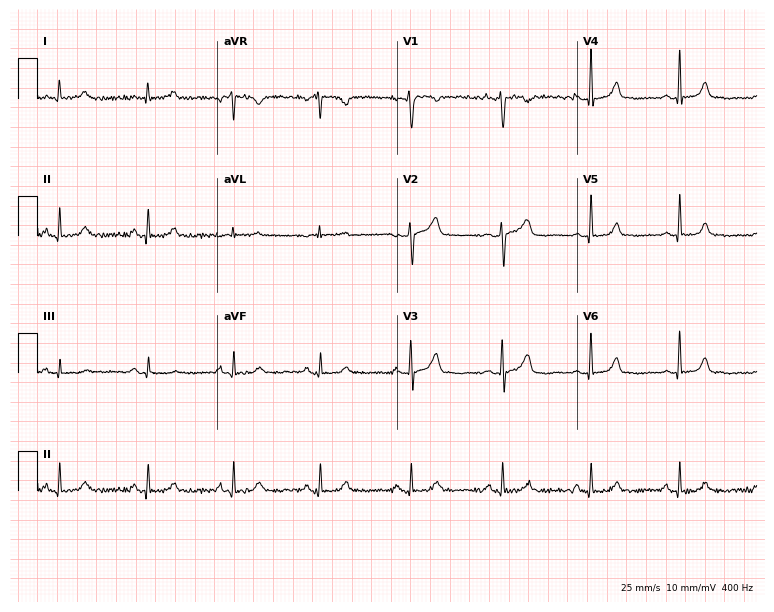
Standard 12-lead ECG recorded from a 44-year-old woman (7.3-second recording at 400 Hz). None of these six findings is recorded: first-degree AV block, right bundle branch block, left bundle branch block, sinus bradycardia, atrial fibrillation, sinus tachycardia.